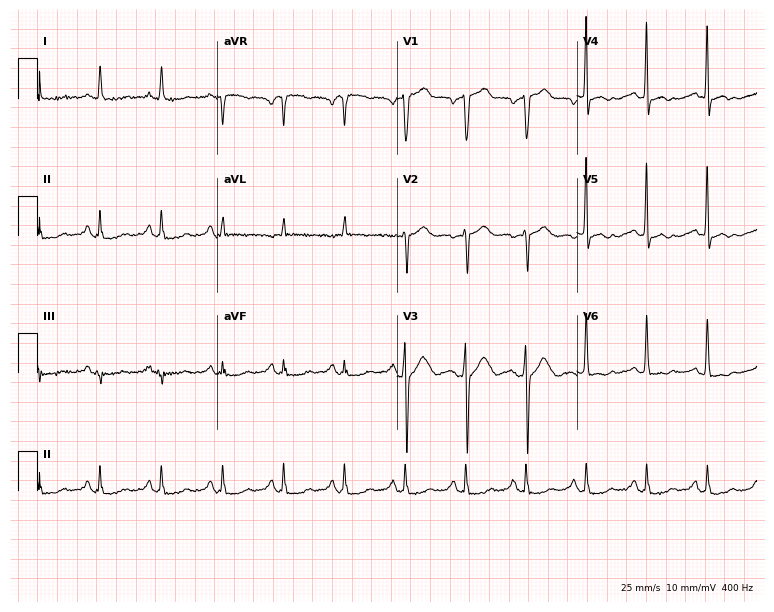
ECG — a man, 55 years old. Screened for six findings — first-degree AV block, right bundle branch block, left bundle branch block, sinus bradycardia, atrial fibrillation, sinus tachycardia — none is recorded.